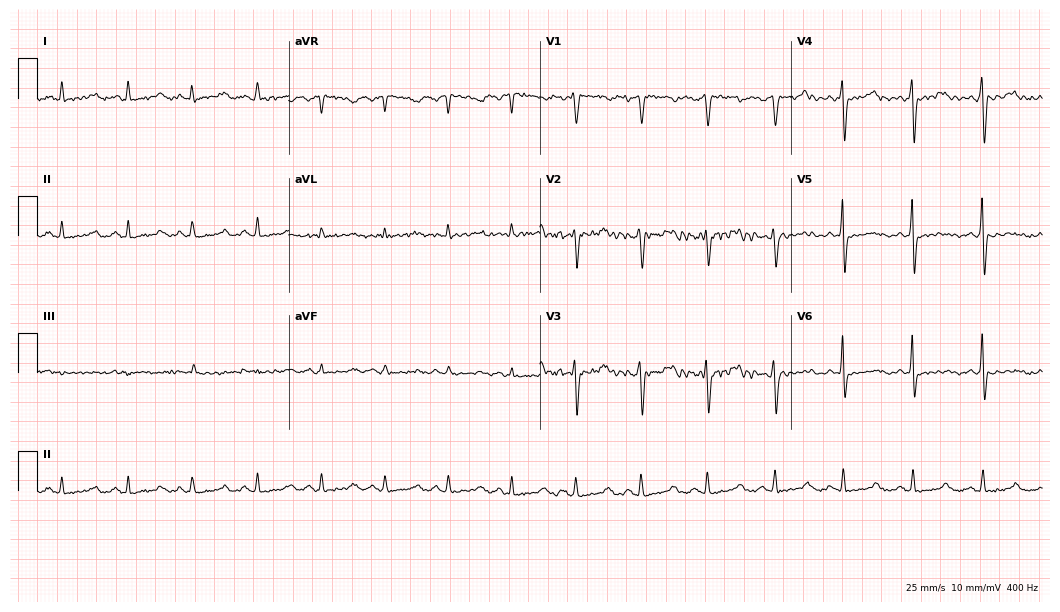
Electrocardiogram (10.2-second recording at 400 Hz), a male, 62 years old. Of the six screened findings (first-degree AV block, right bundle branch block, left bundle branch block, sinus bradycardia, atrial fibrillation, sinus tachycardia), none is recorded. Findings outside these six are not listed.